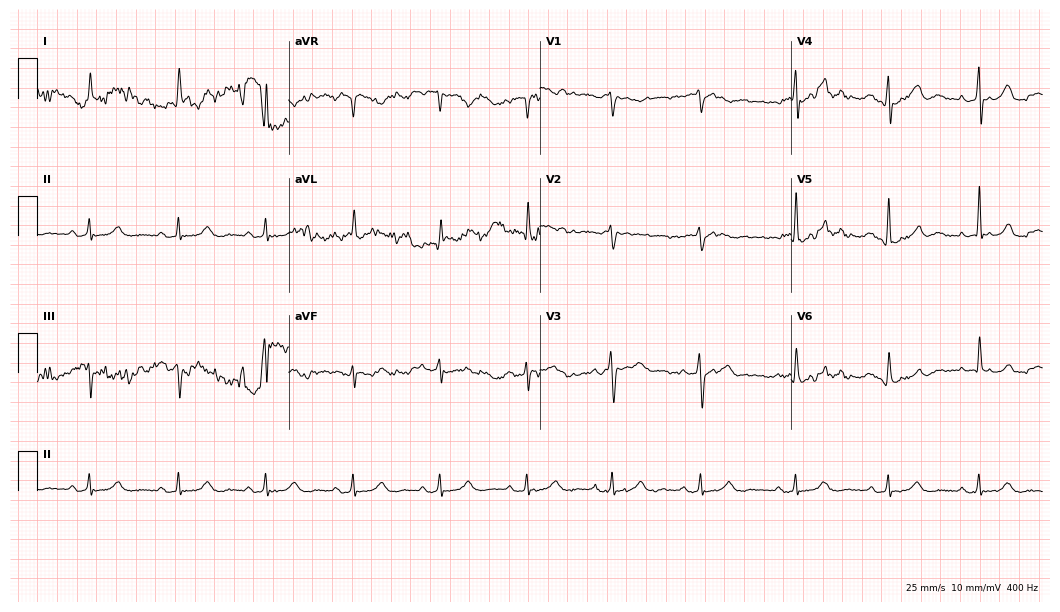
12-lead ECG (10.2-second recording at 400 Hz) from an 82-year-old female. Labelled as a normal ECG.